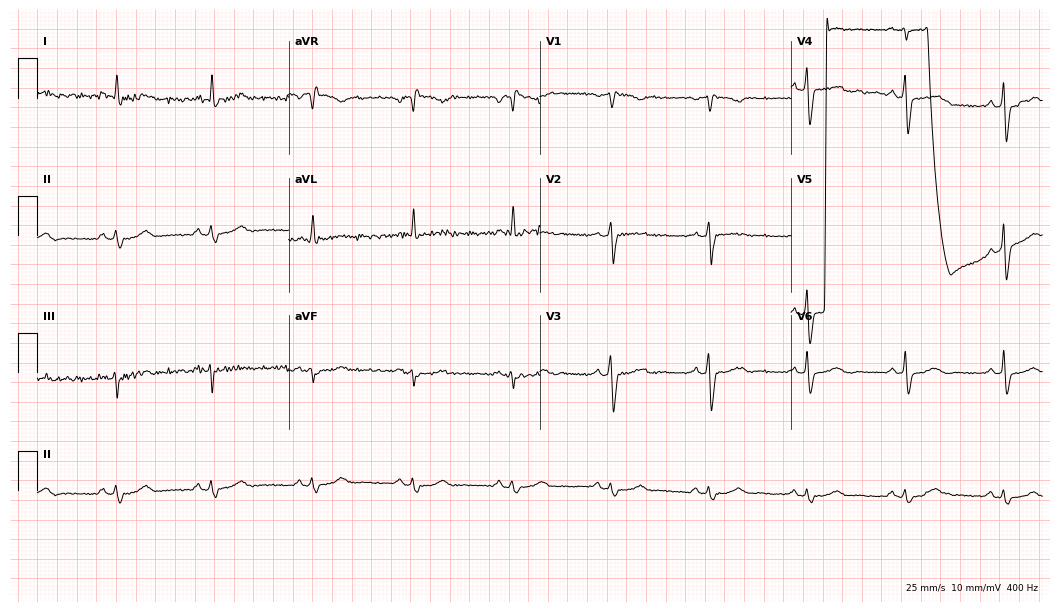
12-lead ECG (10.2-second recording at 400 Hz) from a male, 76 years old. Screened for six findings — first-degree AV block, right bundle branch block, left bundle branch block, sinus bradycardia, atrial fibrillation, sinus tachycardia — none is recorded. Only these six findings were labelled.